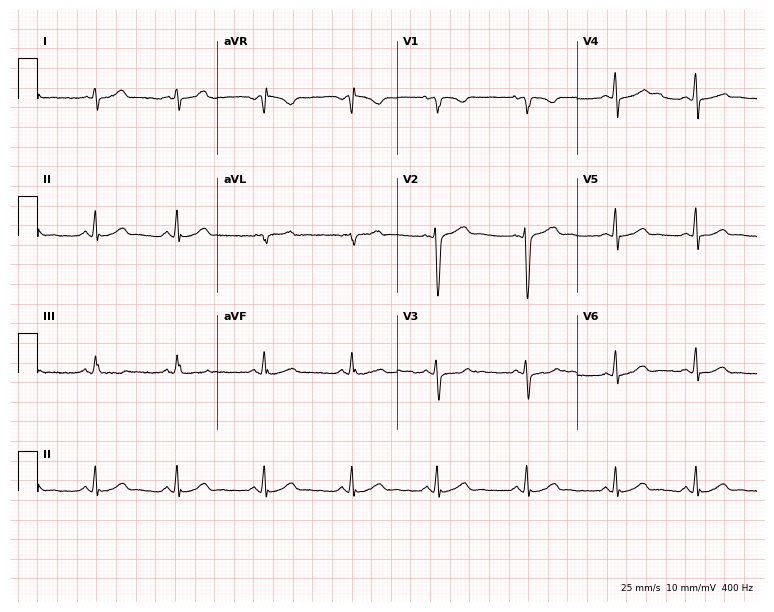
ECG — a 21-year-old female. Labelled as a normal ECG.